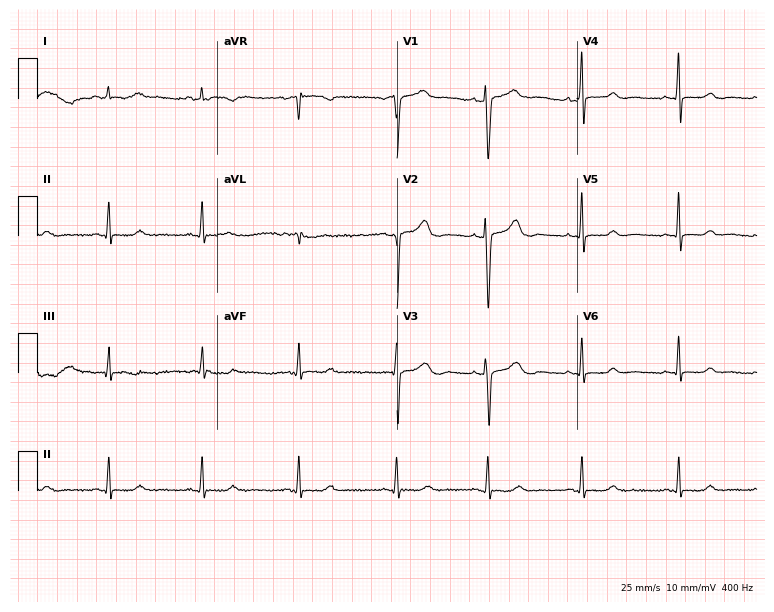
Resting 12-lead electrocardiogram (7.3-second recording at 400 Hz). Patient: a female, 26 years old. Read as a normal ECG.